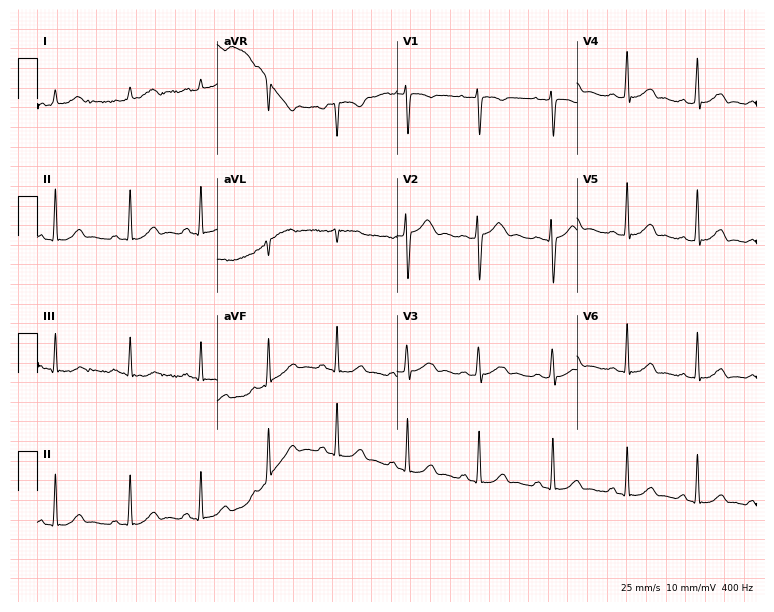
Electrocardiogram, a female, 40 years old. Of the six screened findings (first-degree AV block, right bundle branch block (RBBB), left bundle branch block (LBBB), sinus bradycardia, atrial fibrillation (AF), sinus tachycardia), none is recorded. Findings outside these six are not listed.